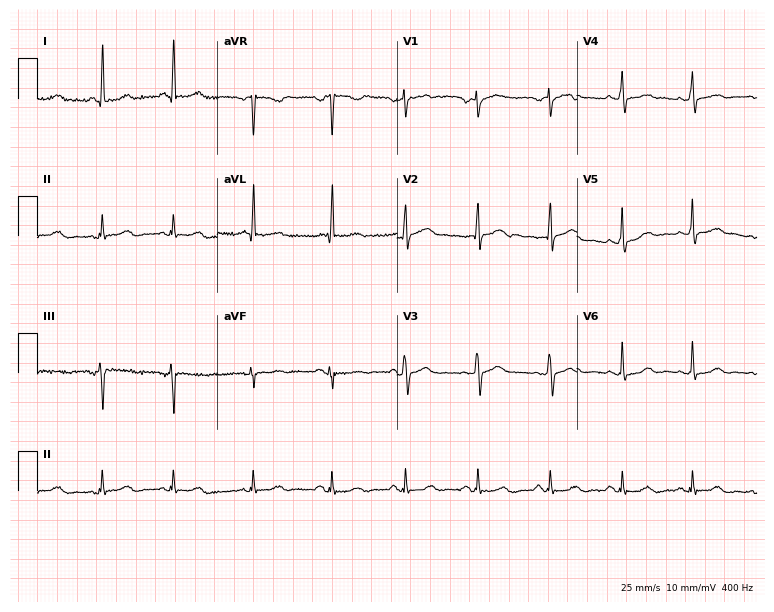
Electrocardiogram (7.3-second recording at 400 Hz), a female, 66 years old. Overall reading on record: normal ECG.